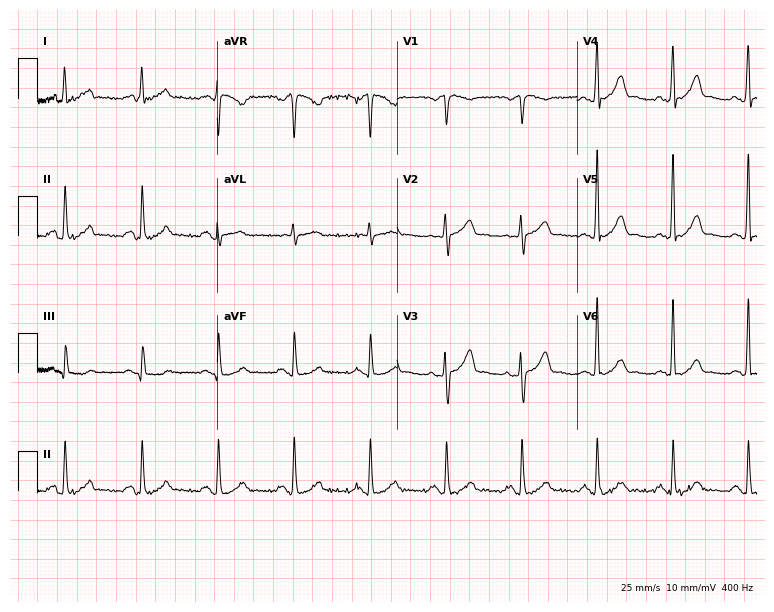
Resting 12-lead electrocardiogram (7.3-second recording at 400 Hz). Patient: a 48-year-old man. None of these six findings is recorded: first-degree AV block, right bundle branch block, left bundle branch block, sinus bradycardia, atrial fibrillation, sinus tachycardia. Findings outside these six are not listed.